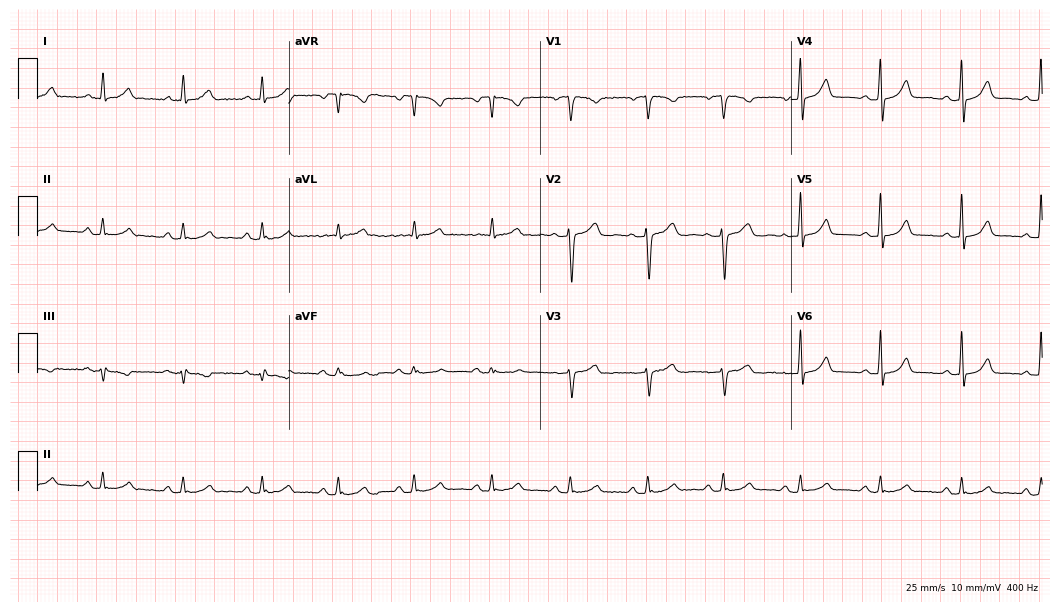
Resting 12-lead electrocardiogram (10.2-second recording at 400 Hz). Patient: a female, 38 years old. Read as a normal ECG.